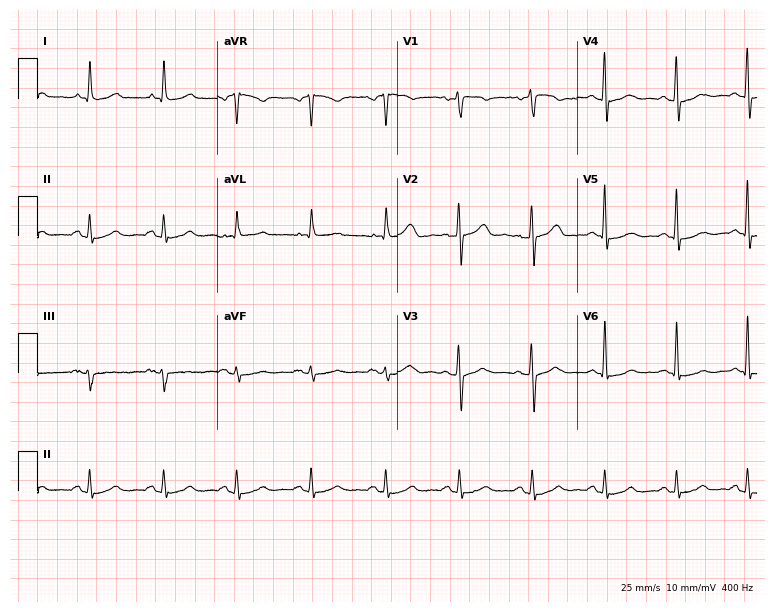
ECG — a woman, 62 years old. Labelled as a normal ECG.